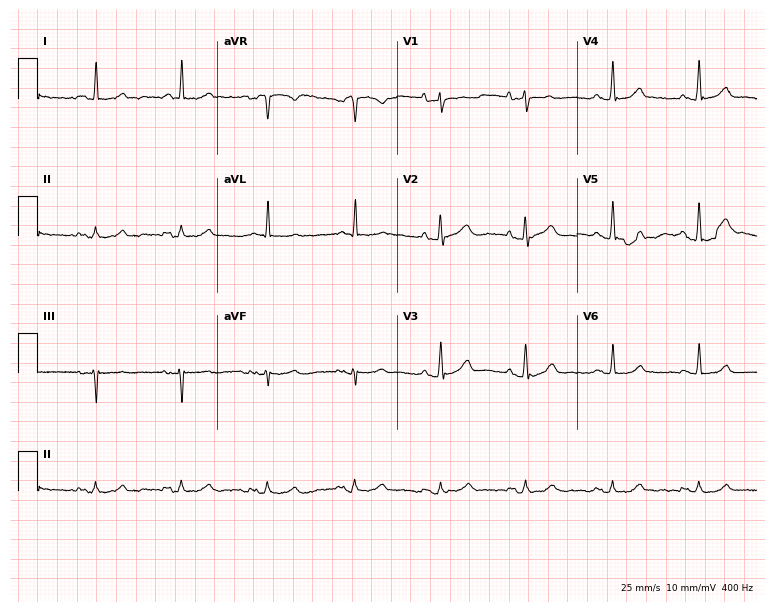
Resting 12-lead electrocardiogram (7.3-second recording at 400 Hz). Patient: a male, 78 years old. None of these six findings is recorded: first-degree AV block, right bundle branch block, left bundle branch block, sinus bradycardia, atrial fibrillation, sinus tachycardia. Only these six findings were labelled.